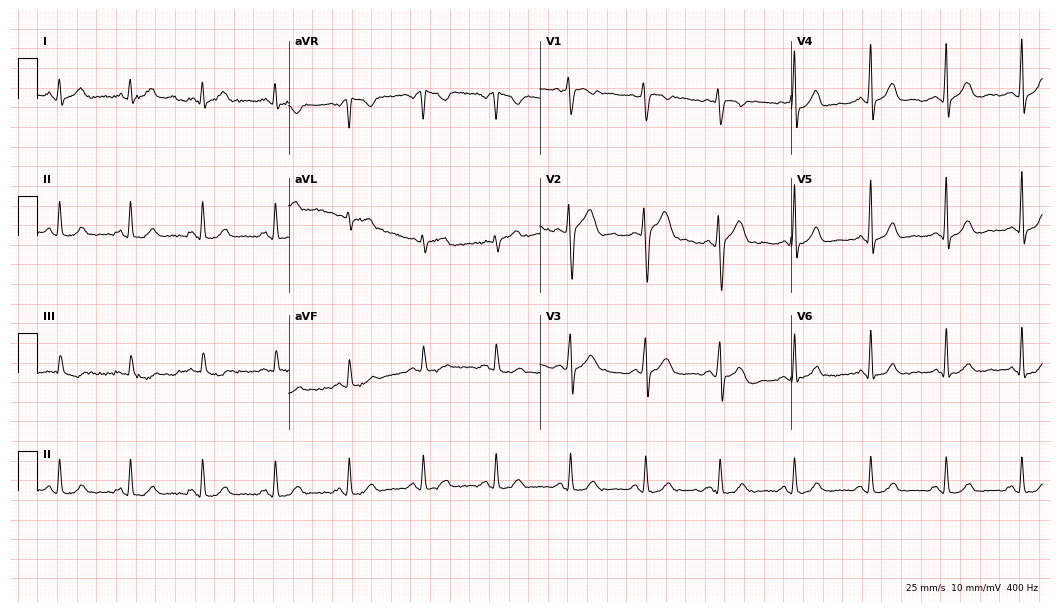
12-lead ECG from a male, 31 years old. Labelled as a normal ECG.